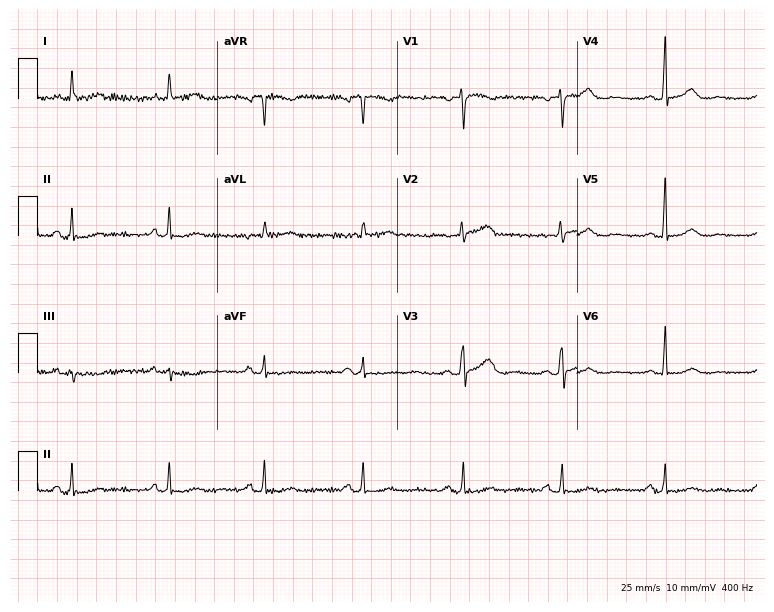
Electrocardiogram (7.3-second recording at 400 Hz), a 61-year-old woman. Of the six screened findings (first-degree AV block, right bundle branch block, left bundle branch block, sinus bradycardia, atrial fibrillation, sinus tachycardia), none is recorded.